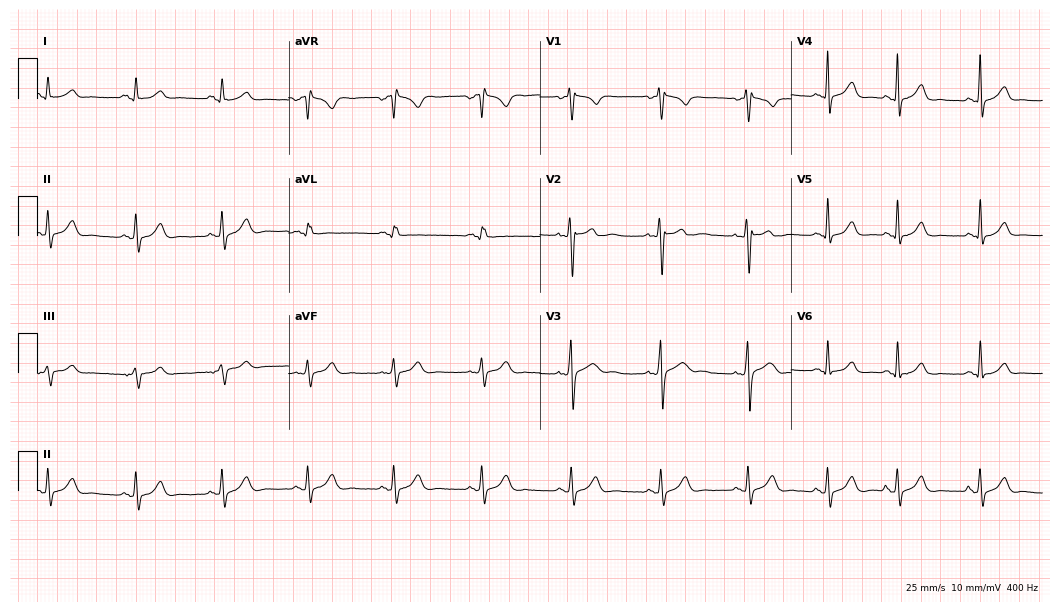
Standard 12-lead ECG recorded from a man, 21 years old (10.2-second recording at 400 Hz). Read as a normal ECG.